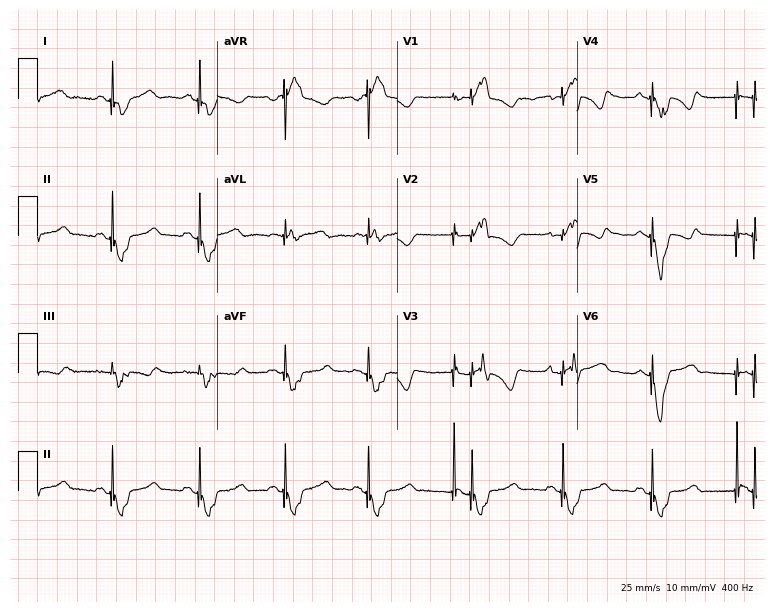
Electrocardiogram (7.3-second recording at 400 Hz), a female, 56 years old. Of the six screened findings (first-degree AV block, right bundle branch block, left bundle branch block, sinus bradycardia, atrial fibrillation, sinus tachycardia), none is recorded.